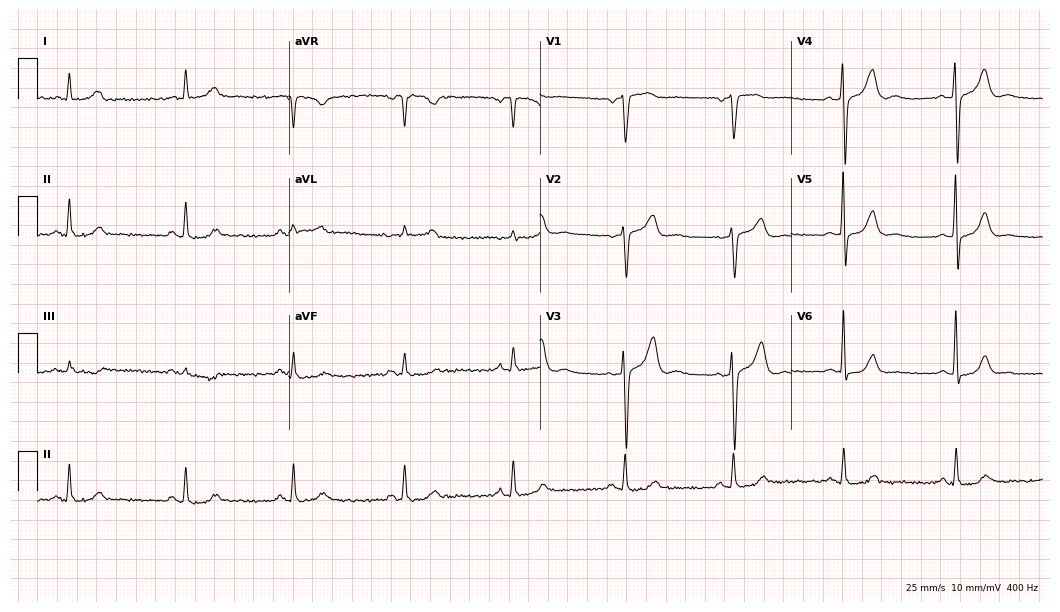
ECG (10.2-second recording at 400 Hz) — an 80-year-old man. Labelled as a normal ECG.